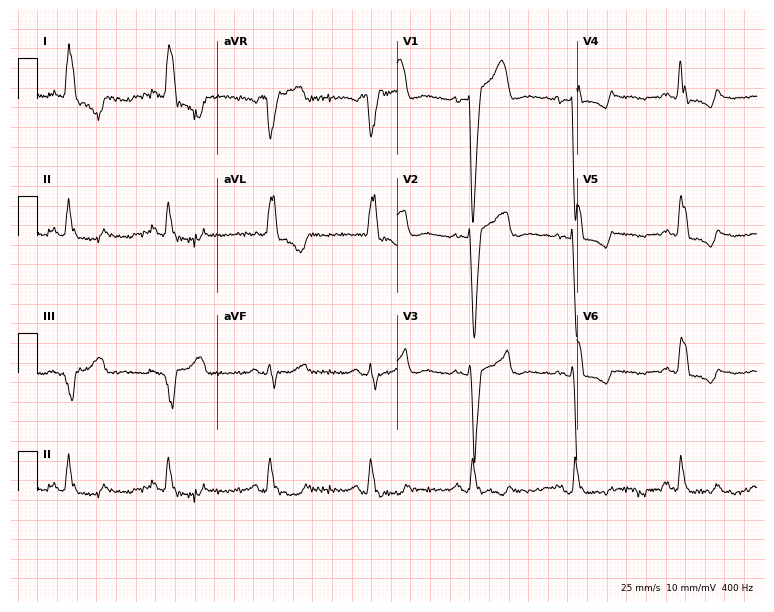
Resting 12-lead electrocardiogram (7.3-second recording at 400 Hz). Patient: a 75-year-old woman. The tracing shows left bundle branch block (LBBB).